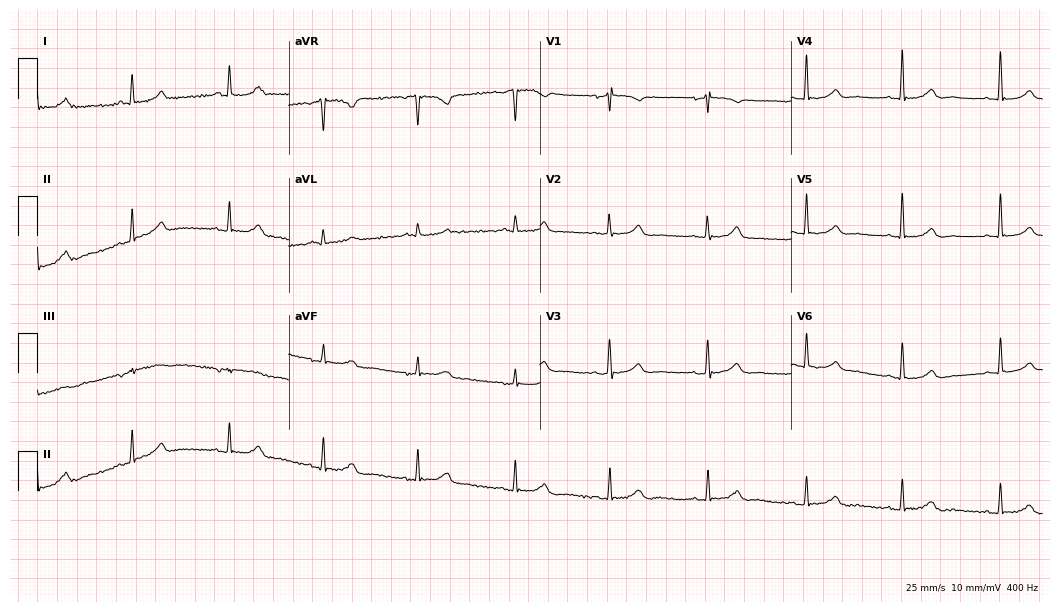
12-lead ECG (10.2-second recording at 400 Hz) from a 40-year-old female. Labelled as a normal ECG.